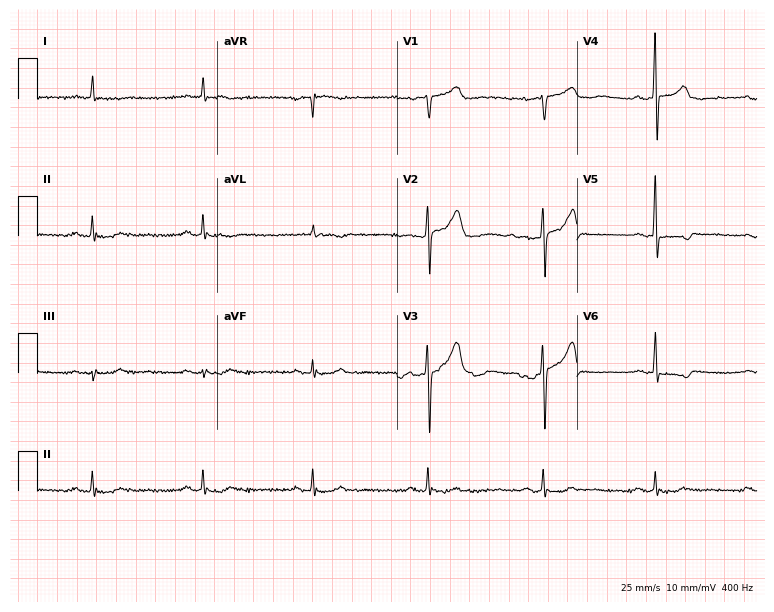
12-lead ECG (7.3-second recording at 400 Hz) from a male patient, 75 years old. Screened for six findings — first-degree AV block, right bundle branch block (RBBB), left bundle branch block (LBBB), sinus bradycardia, atrial fibrillation (AF), sinus tachycardia — none is recorded.